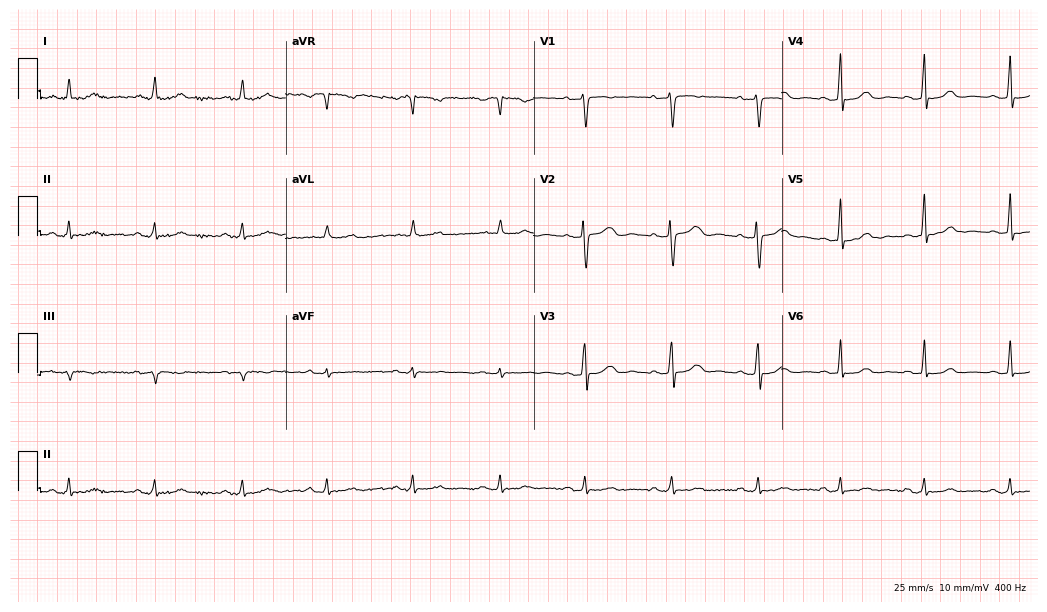
Resting 12-lead electrocardiogram. Patient: a female, 47 years old. Read as a normal ECG.